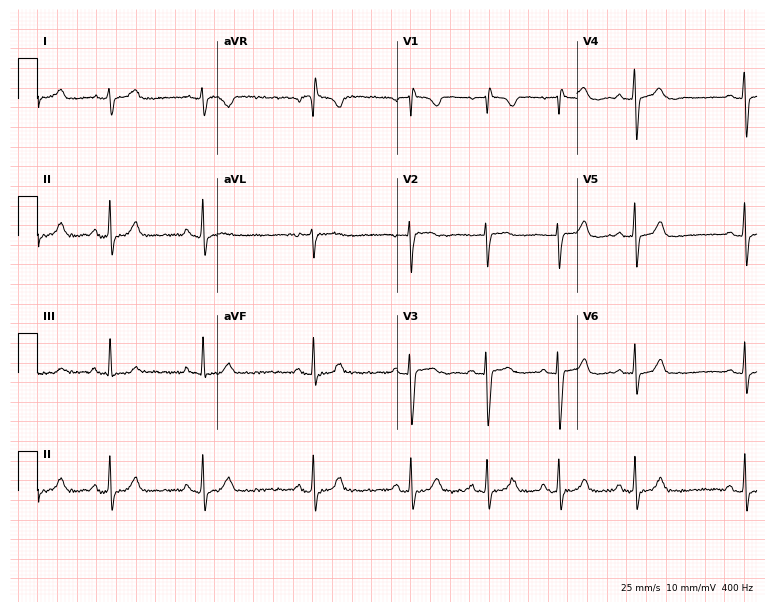
ECG (7.3-second recording at 400 Hz) — a female, 17 years old. Screened for six findings — first-degree AV block, right bundle branch block, left bundle branch block, sinus bradycardia, atrial fibrillation, sinus tachycardia — none is recorded. Findings outside these six are not listed.